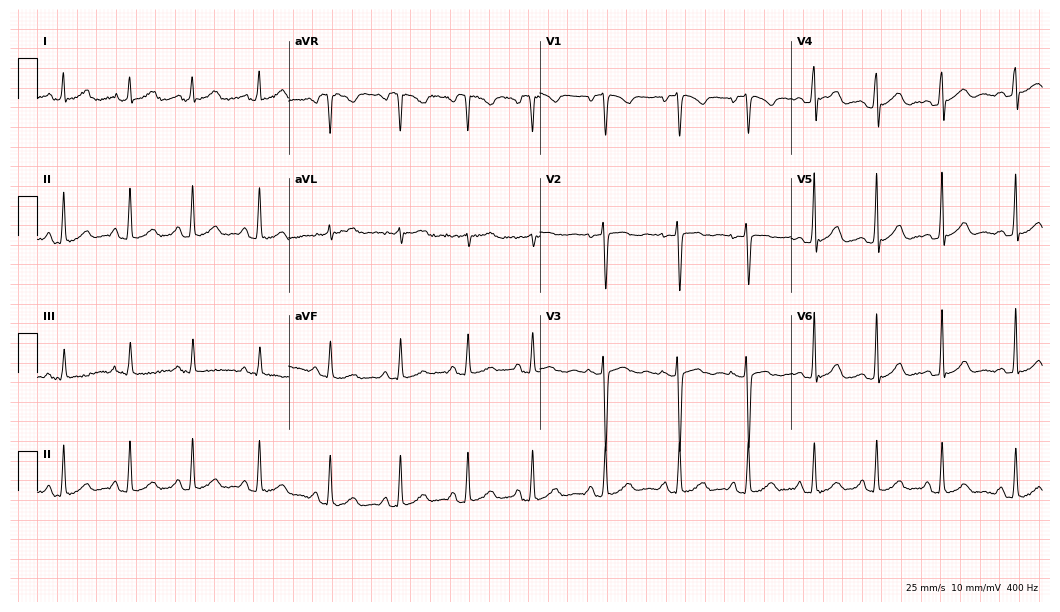
12-lead ECG (10.2-second recording at 400 Hz) from a woman, 18 years old. Labelled as a normal ECG.